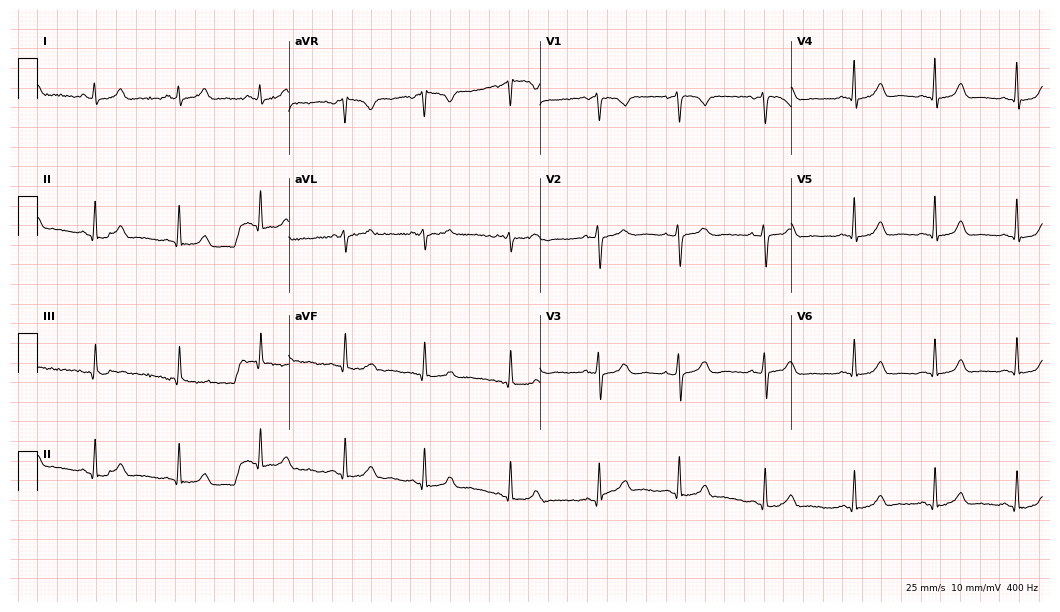
12-lead ECG from a female patient, 25 years old. Screened for six findings — first-degree AV block, right bundle branch block, left bundle branch block, sinus bradycardia, atrial fibrillation, sinus tachycardia — none is recorded. Other findings, if any, are not listed.